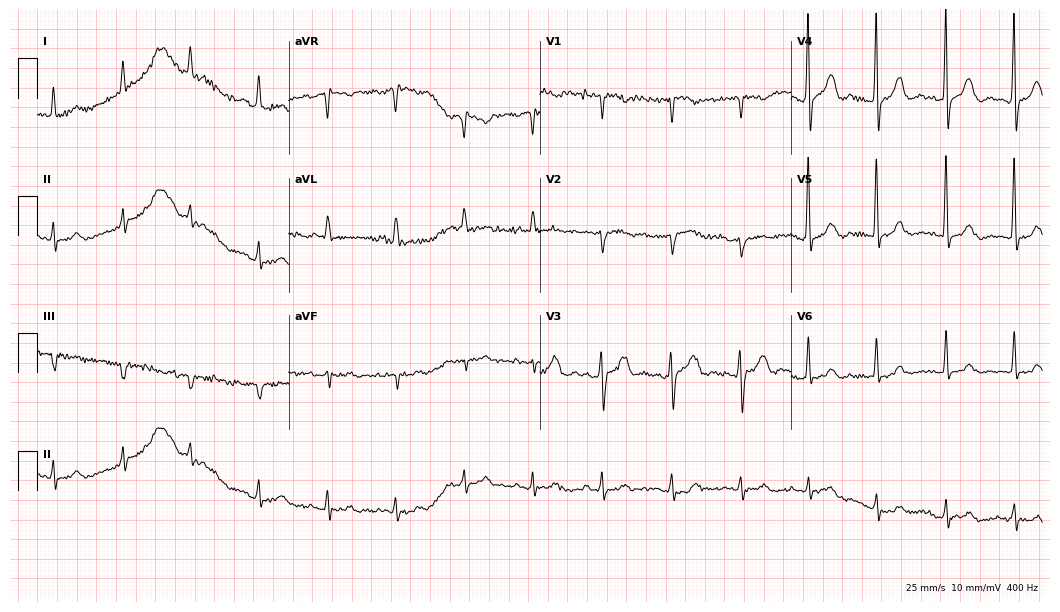
12-lead ECG from an 85-year-old female. Labelled as a normal ECG.